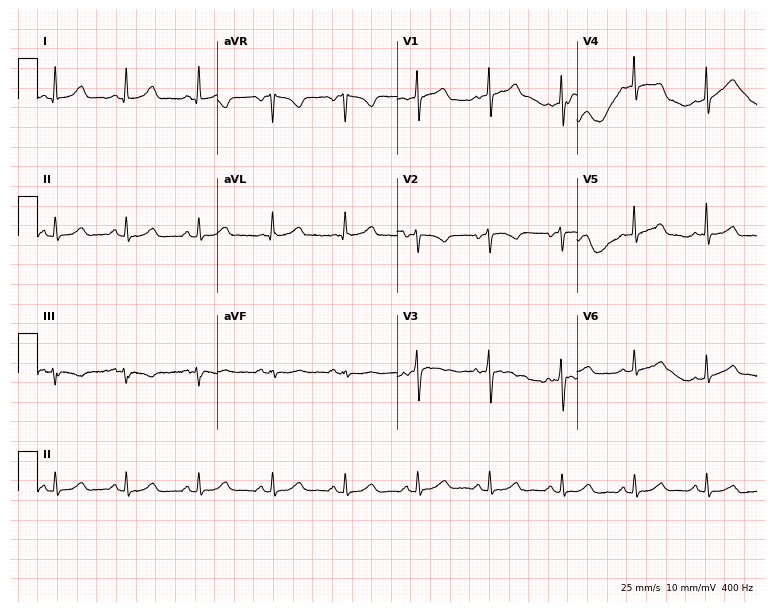
Electrocardiogram (7.3-second recording at 400 Hz), a female, 58 years old. Of the six screened findings (first-degree AV block, right bundle branch block, left bundle branch block, sinus bradycardia, atrial fibrillation, sinus tachycardia), none is recorded.